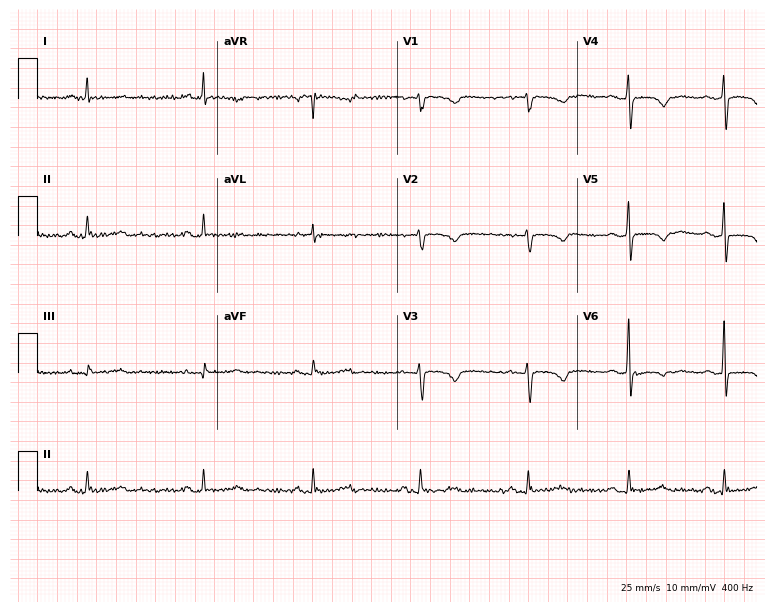
Electrocardiogram (7.3-second recording at 400 Hz), a 42-year-old woman. Of the six screened findings (first-degree AV block, right bundle branch block, left bundle branch block, sinus bradycardia, atrial fibrillation, sinus tachycardia), none is recorded.